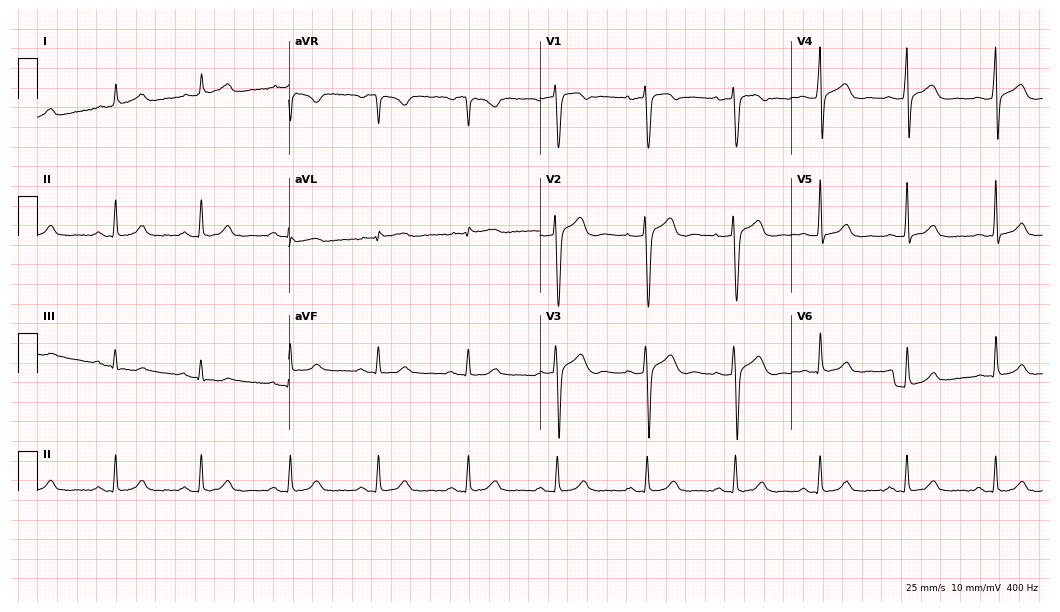
Standard 12-lead ECG recorded from a 47-year-old male. Read as a normal ECG.